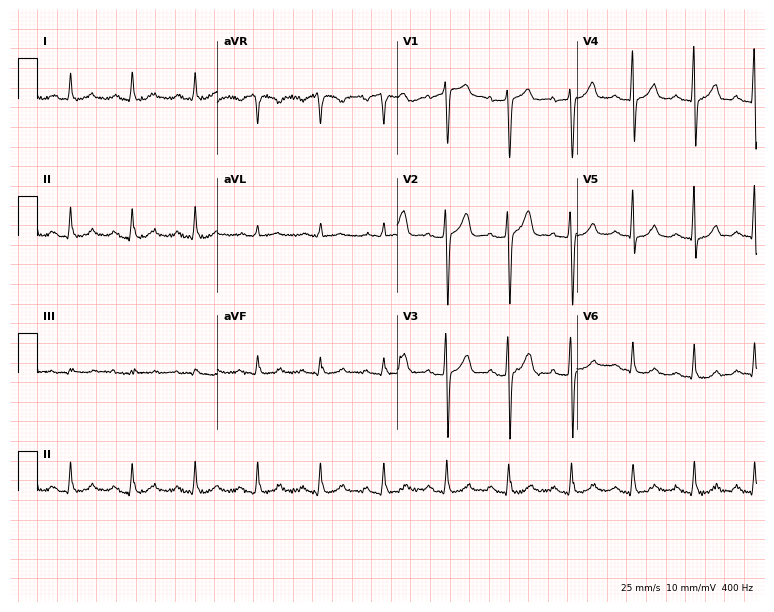
Electrocardiogram (7.3-second recording at 400 Hz), a 48-year-old female patient. Overall reading on record: normal ECG.